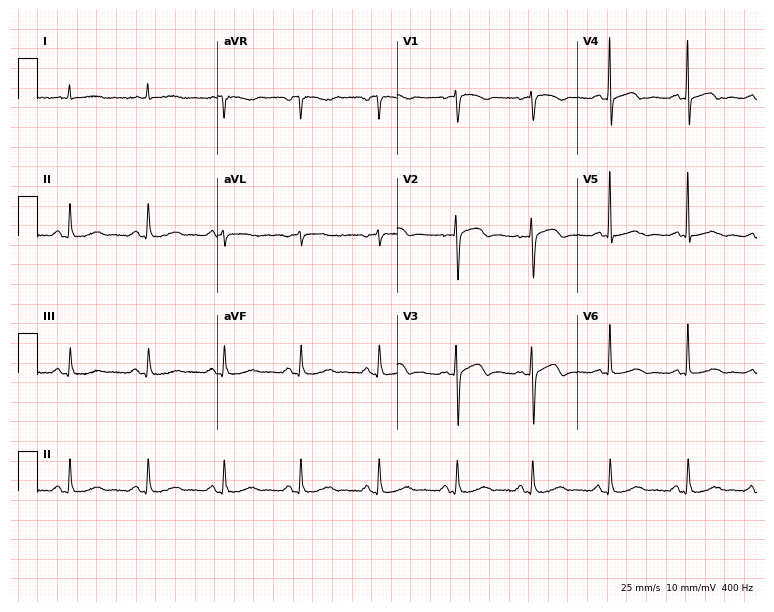
Standard 12-lead ECG recorded from a 79-year-old female. None of these six findings is recorded: first-degree AV block, right bundle branch block, left bundle branch block, sinus bradycardia, atrial fibrillation, sinus tachycardia. Findings outside these six are not listed.